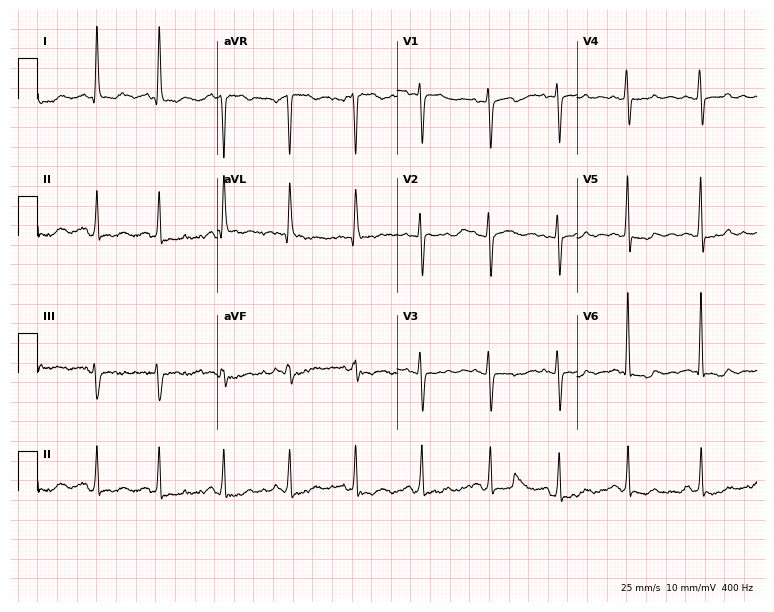
Resting 12-lead electrocardiogram. Patient: a 51-year-old female. None of these six findings is recorded: first-degree AV block, right bundle branch block, left bundle branch block, sinus bradycardia, atrial fibrillation, sinus tachycardia. Only these six findings were labelled.